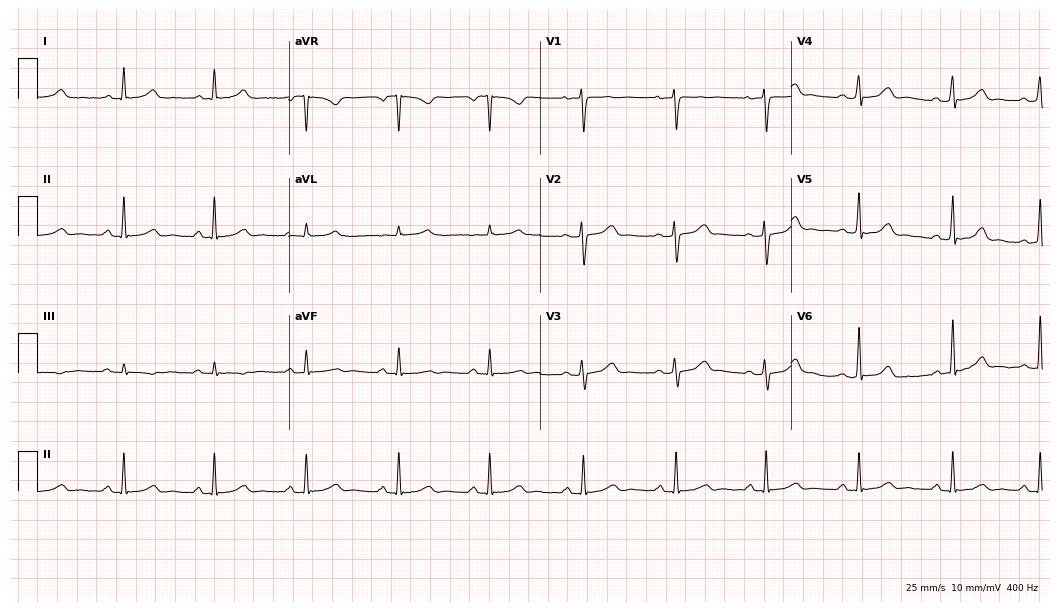
ECG — a female, 45 years old. Labelled as a normal ECG.